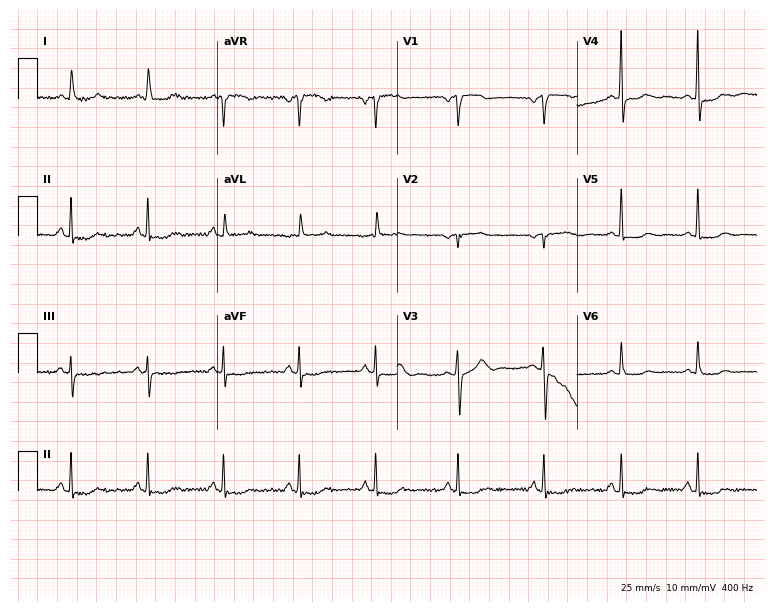
12-lead ECG from a 70-year-old woman (7.3-second recording at 400 Hz). No first-degree AV block, right bundle branch block, left bundle branch block, sinus bradycardia, atrial fibrillation or sinus tachycardia recorded for this tracing. Other findings, if any, are not listed.